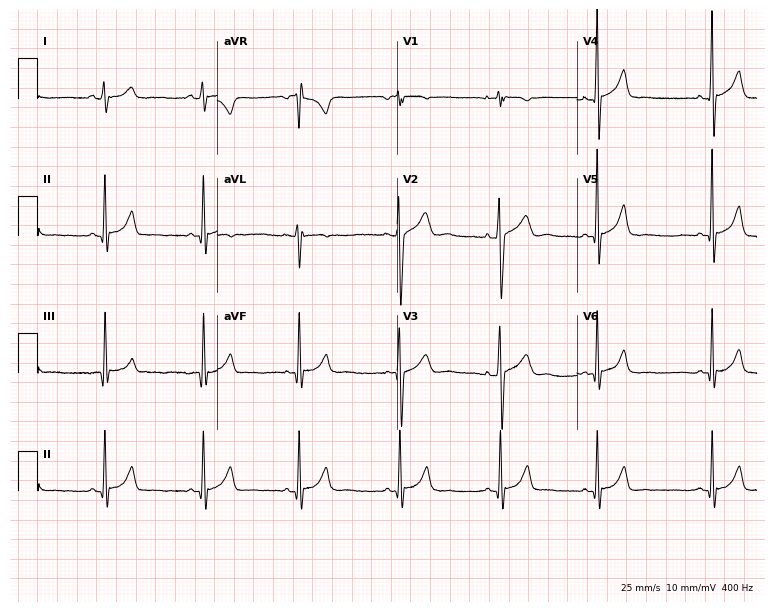
12-lead ECG (7.3-second recording at 400 Hz) from a male patient, 18 years old. Screened for six findings — first-degree AV block, right bundle branch block, left bundle branch block, sinus bradycardia, atrial fibrillation, sinus tachycardia — none is recorded. Findings outside these six are not listed.